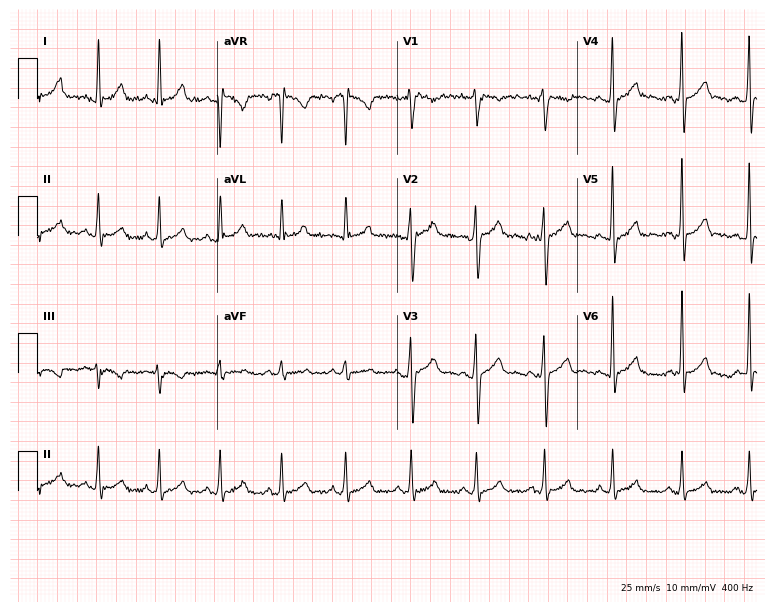
Standard 12-lead ECG recorded from a 19-year-old man. Read as a normal ECG.